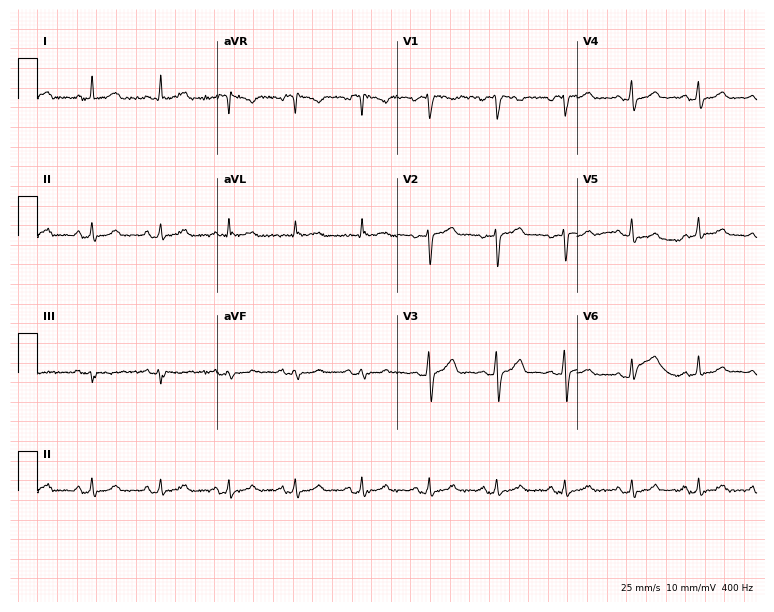
12-lead ECG (7.3-second recording at 400 Hz) from a 36-year-old woman. Labelled as a normal ECG.